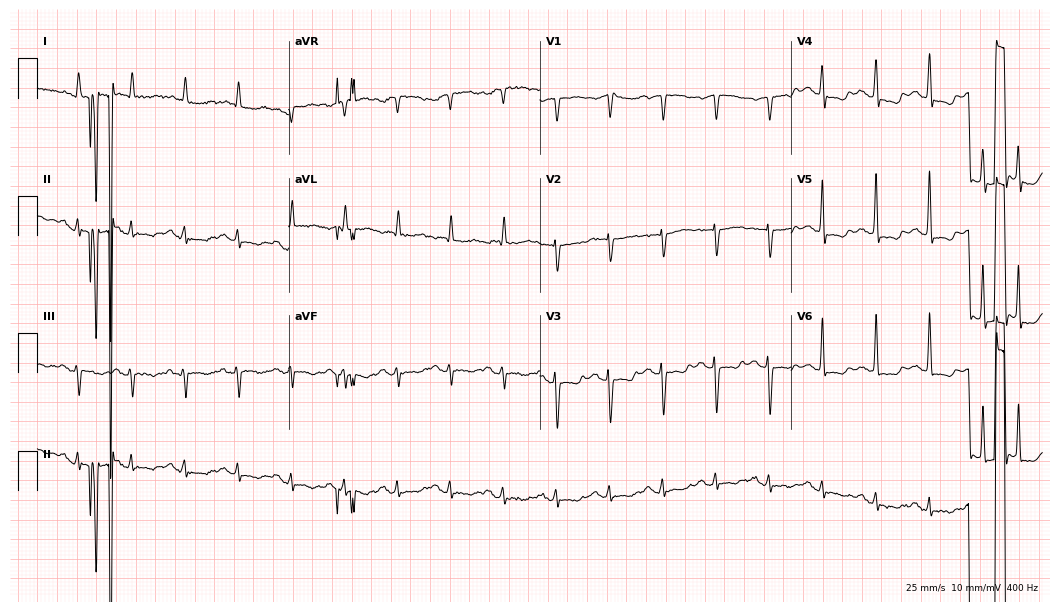
Electrocardiogram (10.2-second recording at 400 Hz), a woman, 79 years old. Of the six screened findings (first-degree AV block, right bundle branch block, left bundle branch block, sinus bradycardia, atrial fibrillation, sinus tachycardia), none is recorded.